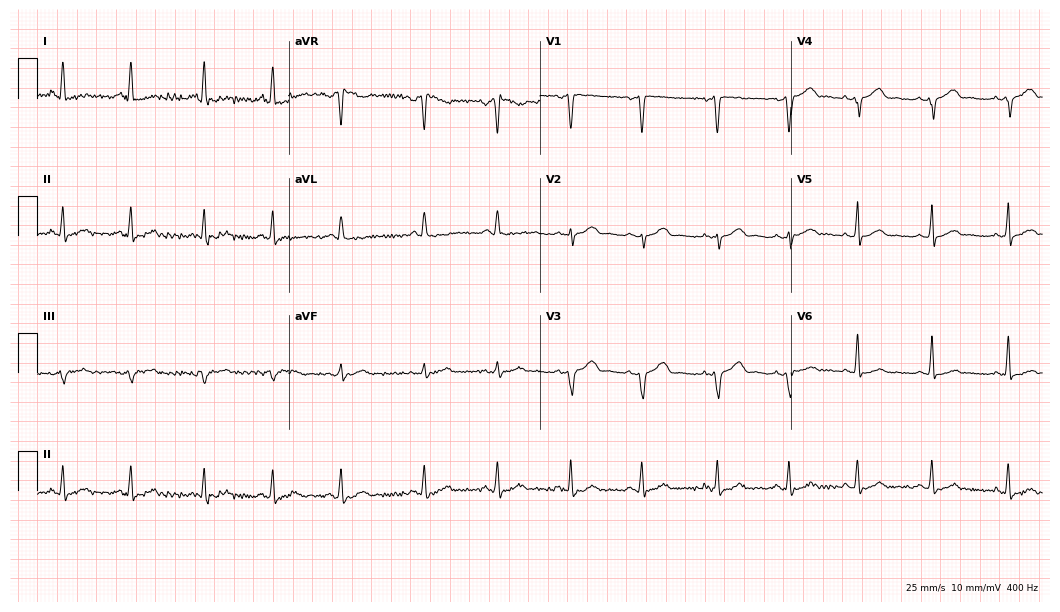
12-lead ECG from a 17-year-old woman. No first-degree AV block, right bundle branch block (RBBB), left bundle branch block (LBBB), sinus bradycardia, atrial fibrillation (AF) or sinus tachycardia recorded for this tracing.